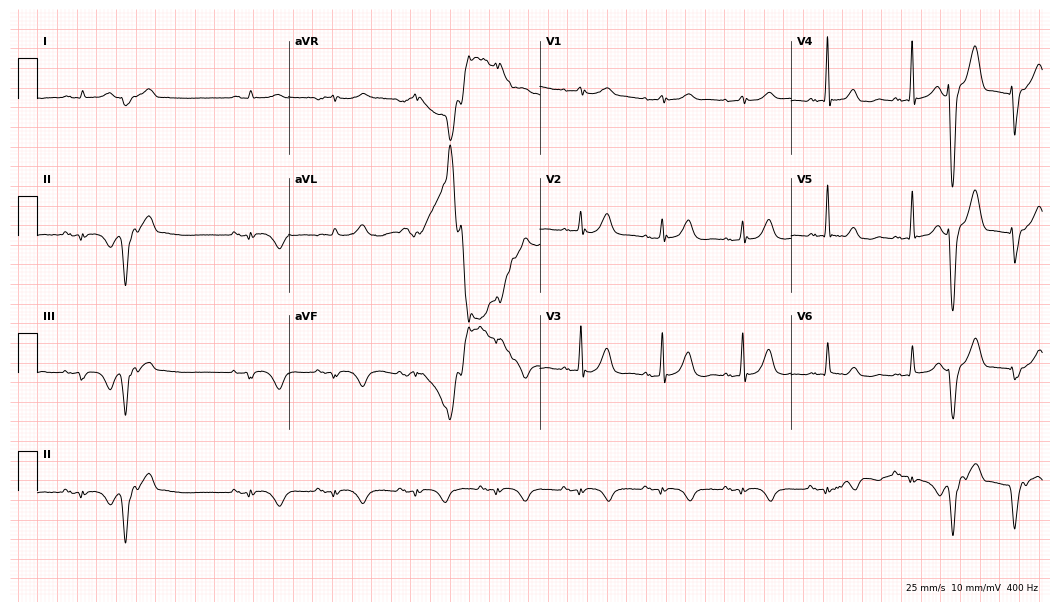
Resting 12-lead electrocardiogram. Patient: a 77-year-old man. None of these six findings is recorded: first-degree AV block, right bundle branch block, left bundle branch block, sinus bradycardia, atrial fibrillation, sinus tachycardia. Other findings, if any, are not listed.